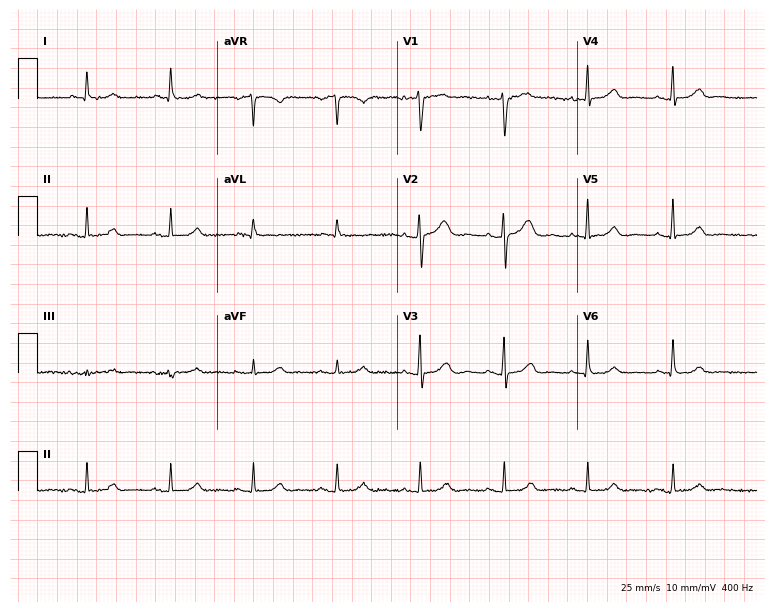
12-lead ECG from a woman, 65 years old. Recorded interpretation: within normal limits.